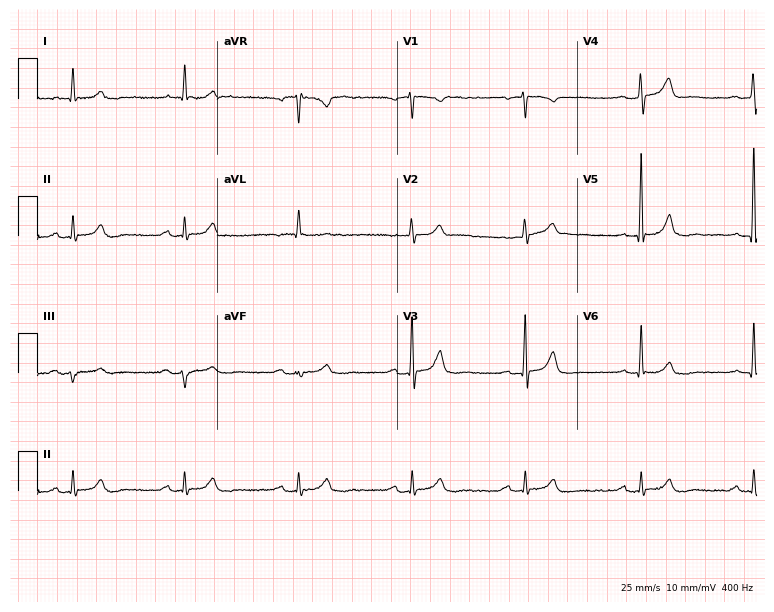
ECG (7.3-second recording at 400 Hz) — a 78-year-old male. Labelled as a normal ECG.